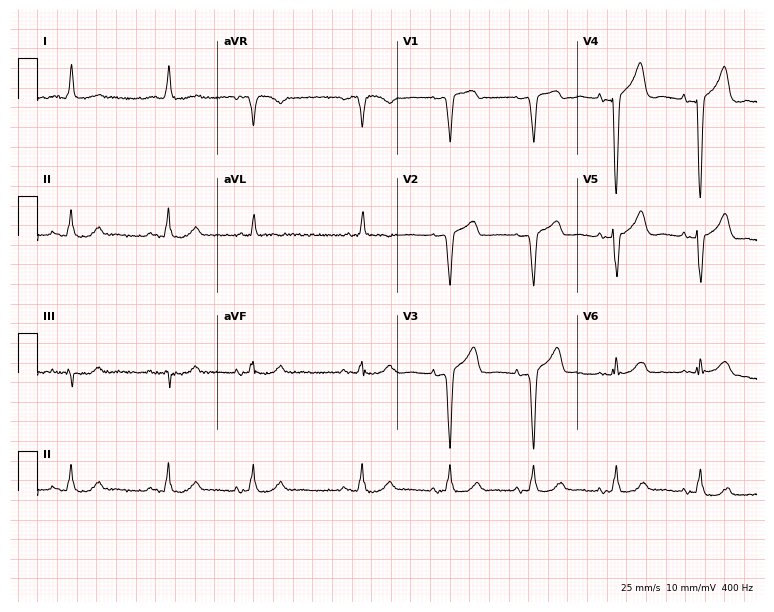
12-lead ECG (7.3-second recording at 400 Hz) from a 69-year-old woman. Screened for six findings — first-degree AV block, right bundle branch block, left bundle branch block, sinus bradycardia, atrial fibrillation, sinus tachycardia — none is recorded.